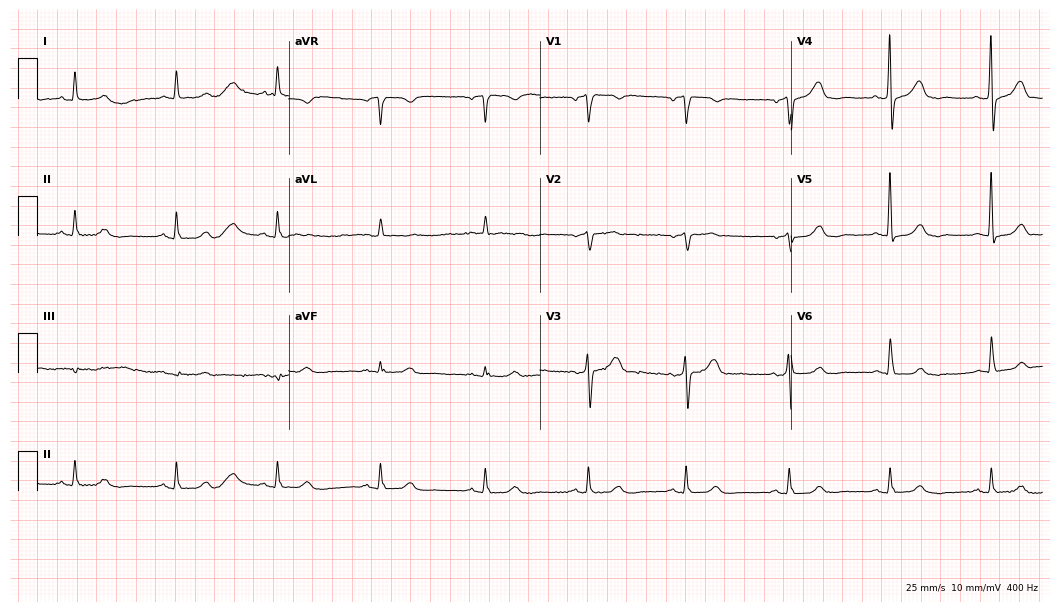
12-lead ECG from a male patient, 85 years old (10.2-second recording at 400 Hz). Recorded interpretation: within normal limits.